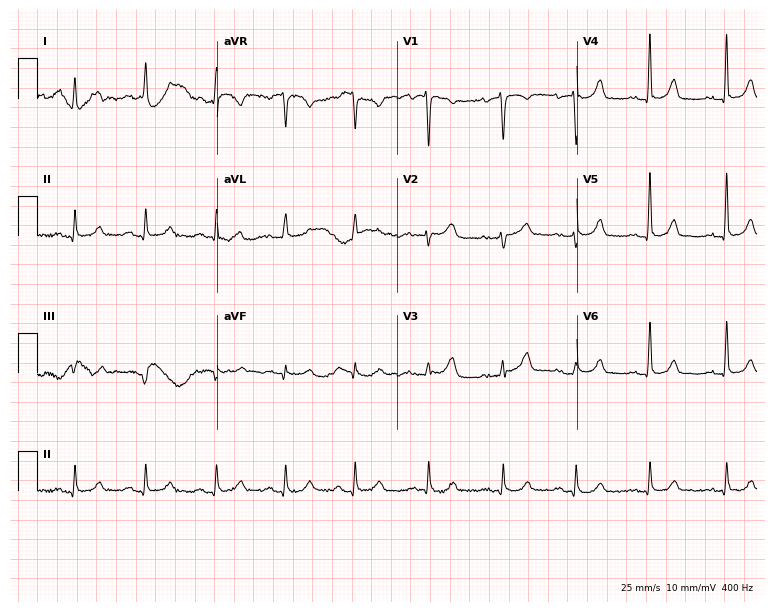
Resting 12-lead electrocardiogram (7.3-second recording at 400 Hz). Patient: a 66-year-old woman. Read as a normal ECG.